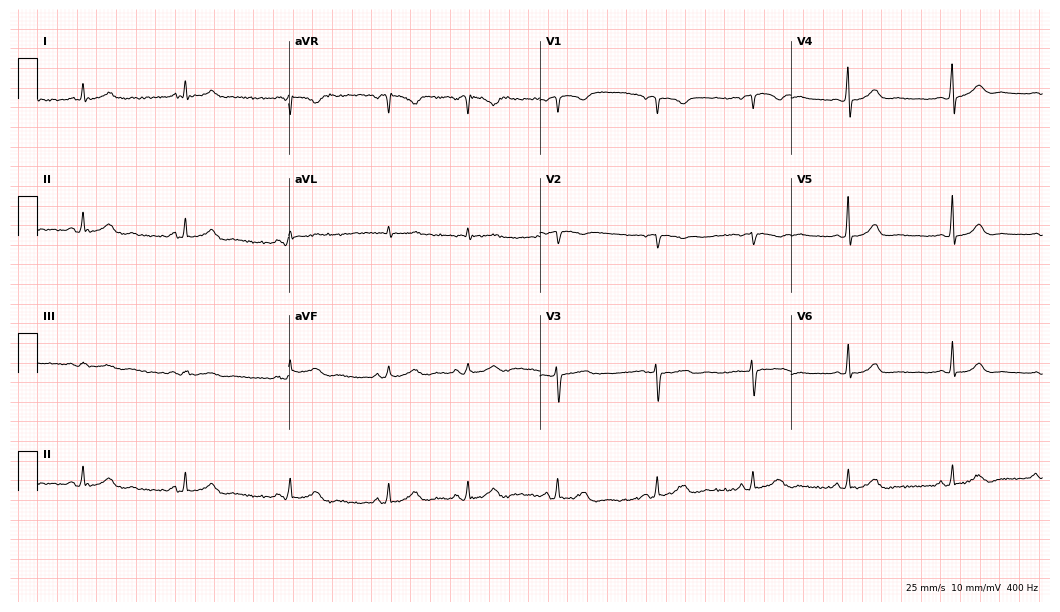
12-lead ECG (10.2-second recording at 400 Hz) from a 29-year-old female. Labelled as a normal ECG.